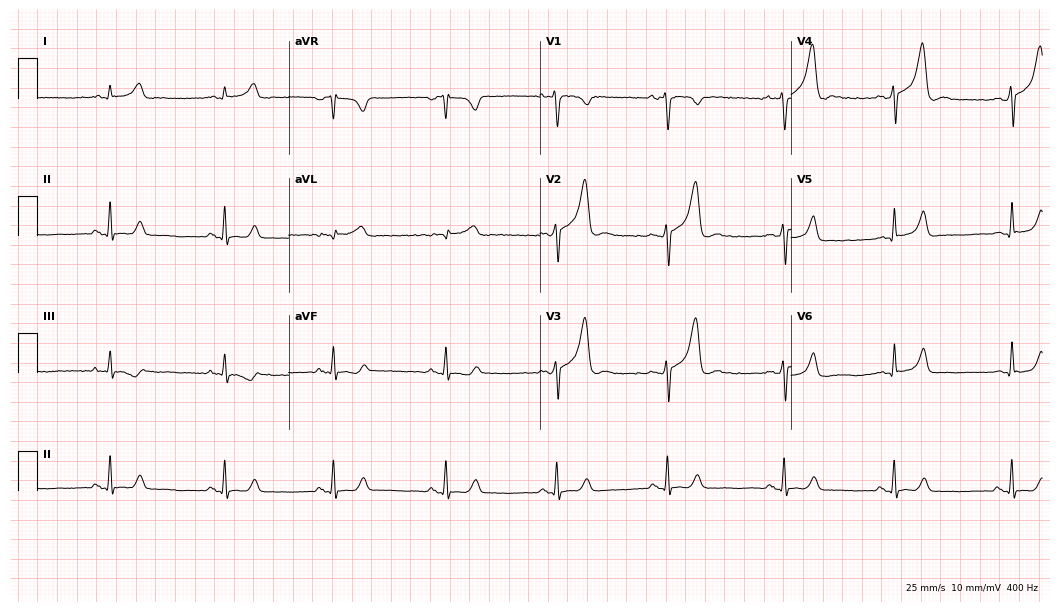
12-lead ECG from a male patient, 21 years old (10.2-second recording at 400 Hz). Recorded interpretation: within normal limits.